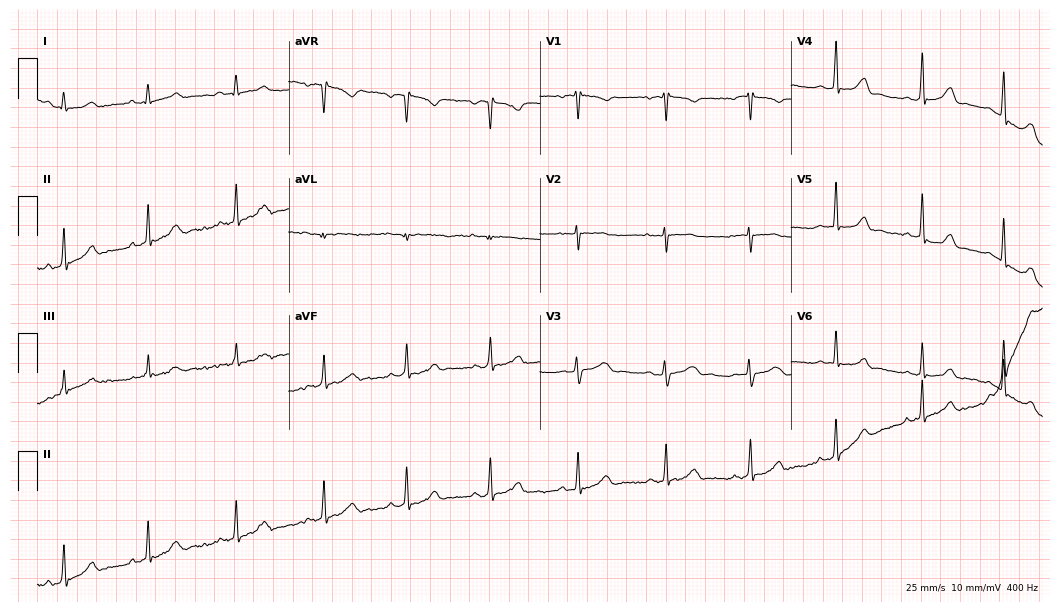
Standard 12-lead ECG recorded from a female, 19 years old (10.2-second recording at 400 Hz). Read as a normal ECG.